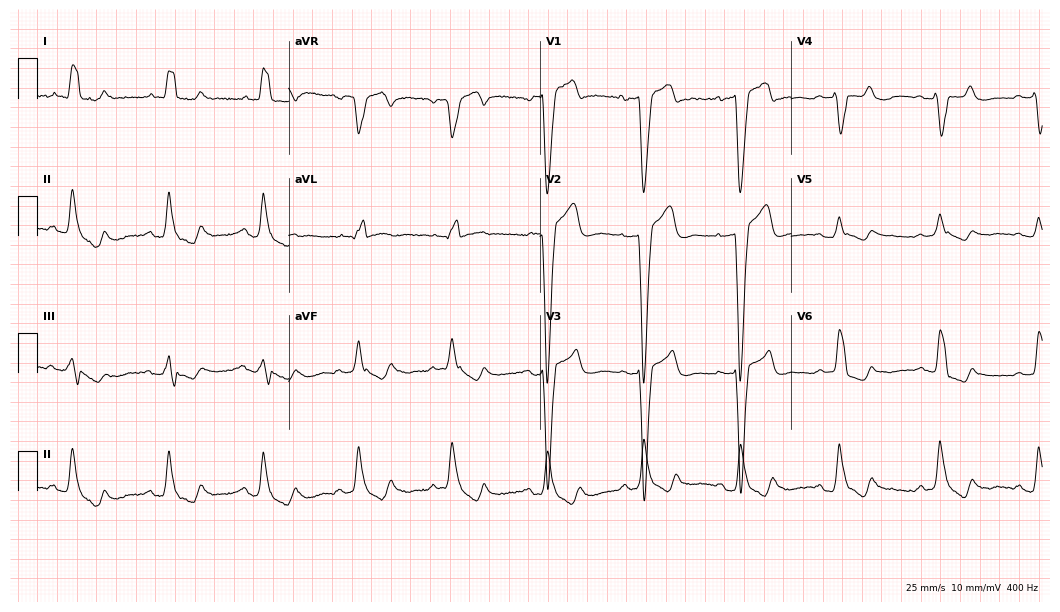
12-lead ECG (10.2-second recording at 400 Hz) from a 57-year-old man. Findings include left bundle branch block.